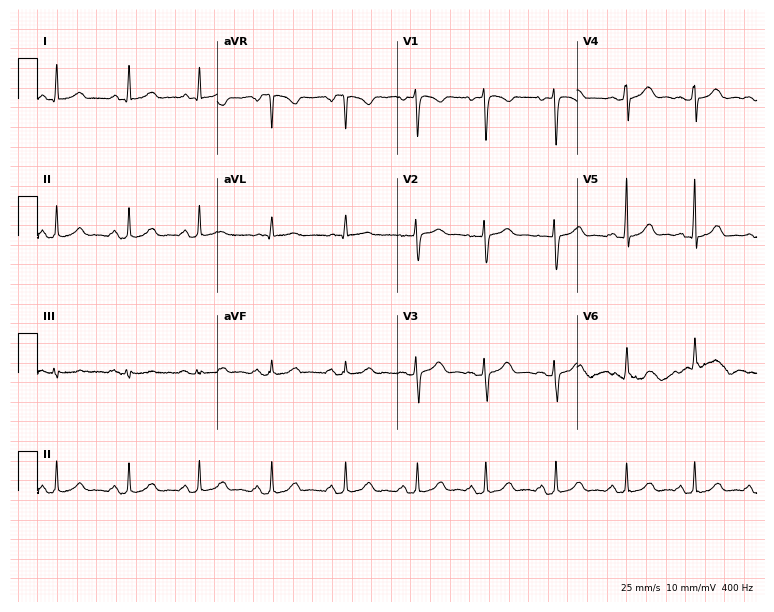
Standard 12-lead ECG recorded from a woman, 38 years old. Read as a normal ECG.